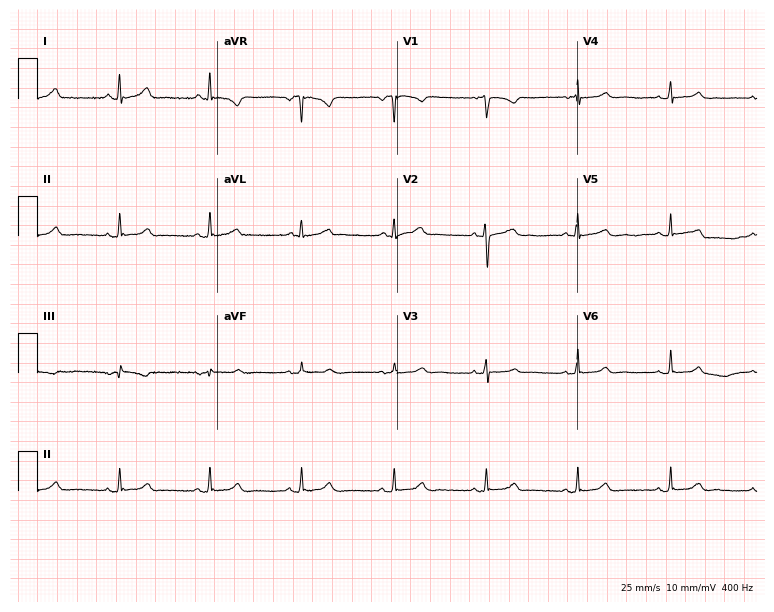
Electrocardiogram, a female patient, 30 years old. Overall reading on record: normal ECG.